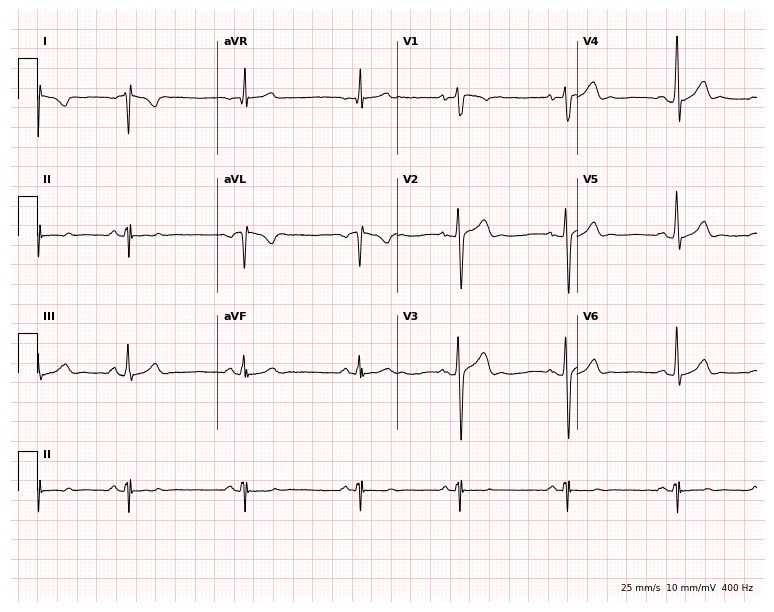
12-lead ECG from a man, 19 years old (7.3-second recording at 400 Hz). No first-degree AV block, right bundle branch block, left bundle branch block, sinus bradycardia, atrial fibrillation or sinus tachycardia recorded for this tracing.